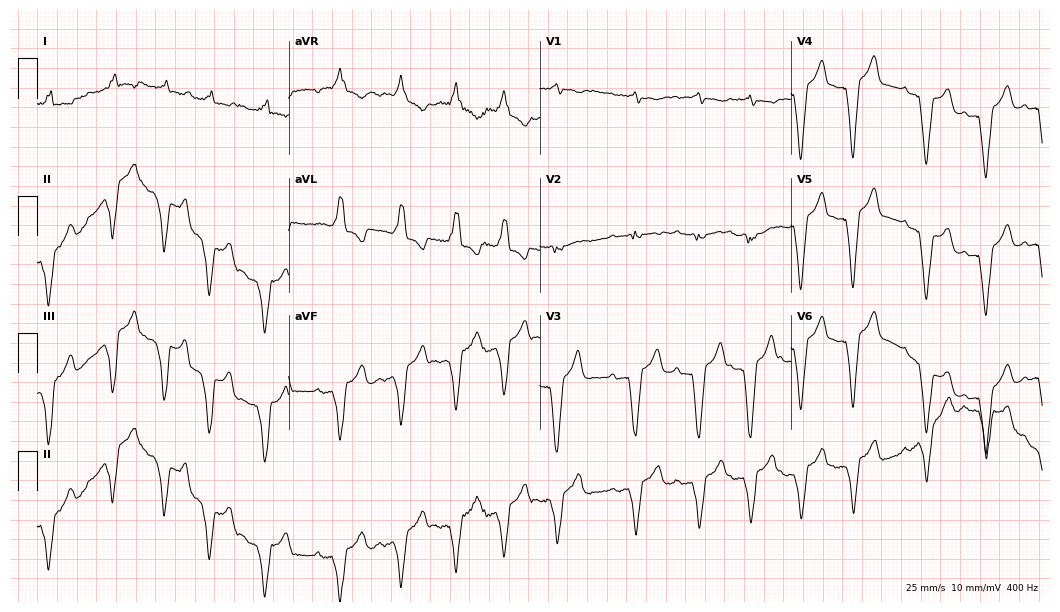
ECG (10.2-second recording at 400 Hz) — a woman, 75 years old. Screened for six findings — first-degree AV block, right bundle branch block (RBBB), left bundle branch block (LBBB), sinus bradycardia, atrial fibrillation (AF), sinus tachycardia — none is recorded. Only these six findings were labelled.